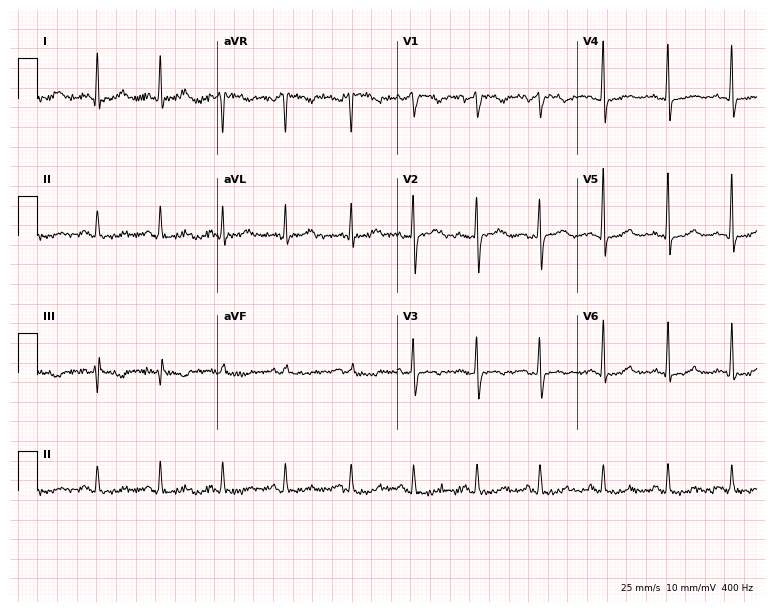
12-lead ECG from a 45-year-old female. Screened for six findings — first-degree AV block, right bundle branch block (RBBB), left bundle branch block (LBBB), sinus bradycardia, atrial fibrillation (AF), sinus tachycardia — none is recorded.